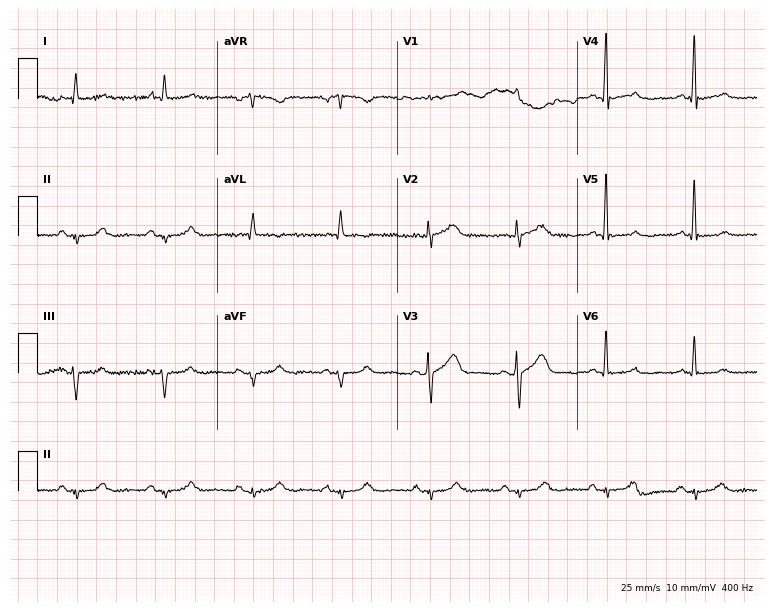
Resting 12-lead electrocardiogram. Patient: a male, 63 years old. Read as a normal ECG.